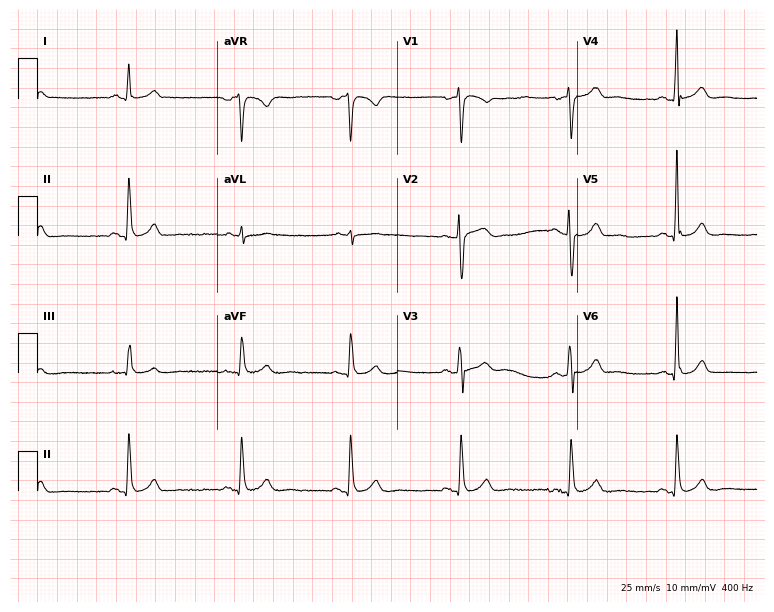
ECG (7.3-second recording at 400 Hz) — a man, 59 years old. Labelled as a normal ECG.